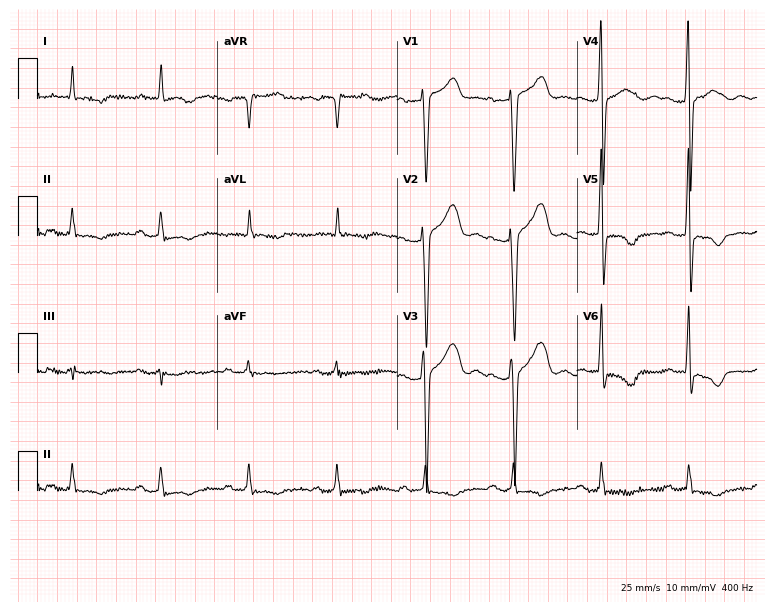
12-lead ECG from a man, 67 years old. Screened for six findings — first-degree AV block, right bundle branch block (RBBB), left bundle branch block (LBBB), sinus bradycardia, atrial fibrillation (AF), sinus tachycardia — none is recorded.